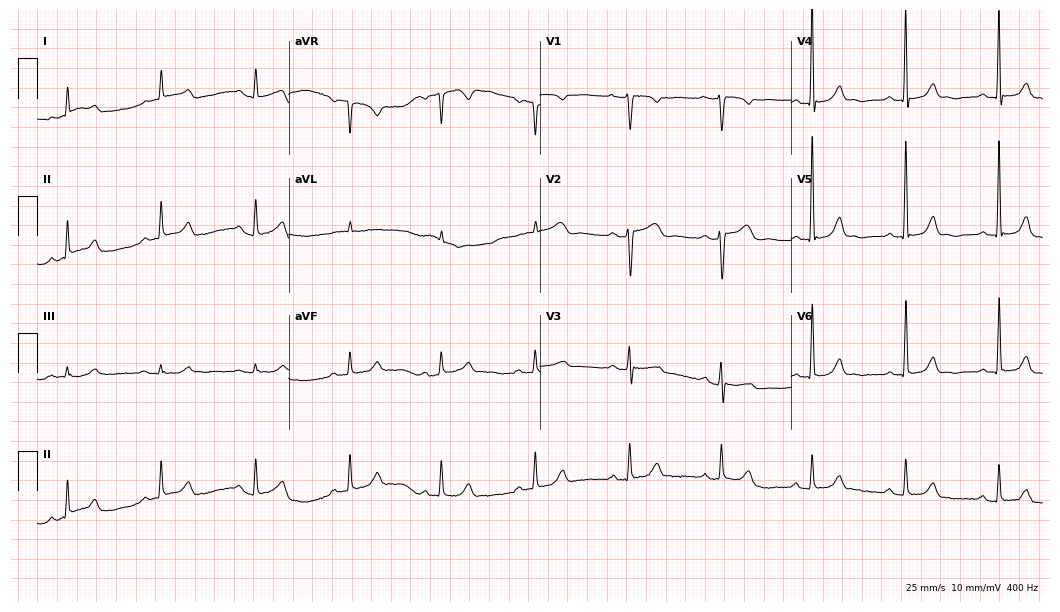
12-lead ECG from a 70-year-old woman. Labelled as a normal ECG.